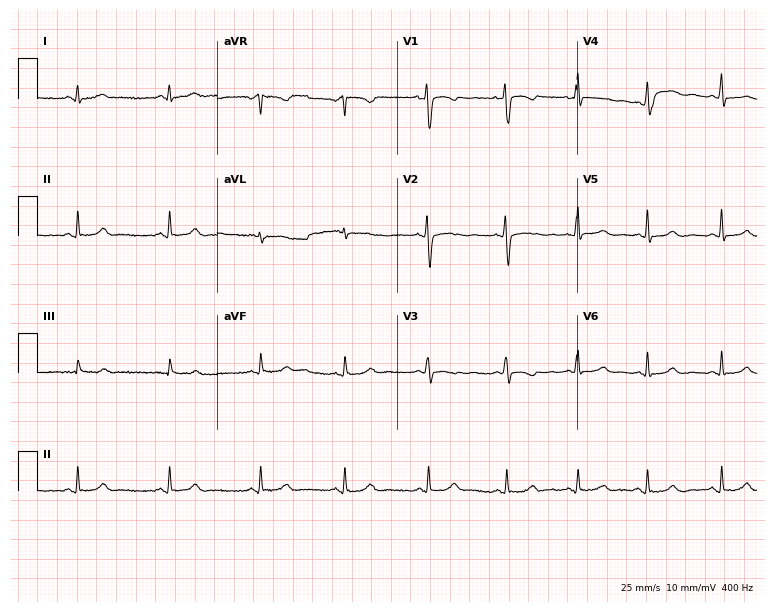
12-lead ECG from a 23-year-old female patient. Screened for six findings — first-degree AV block, right bundle branch block, left bundle branch block, sinus bradycardia, atrial fibrillation, sinus tachycardia — none is recorded.